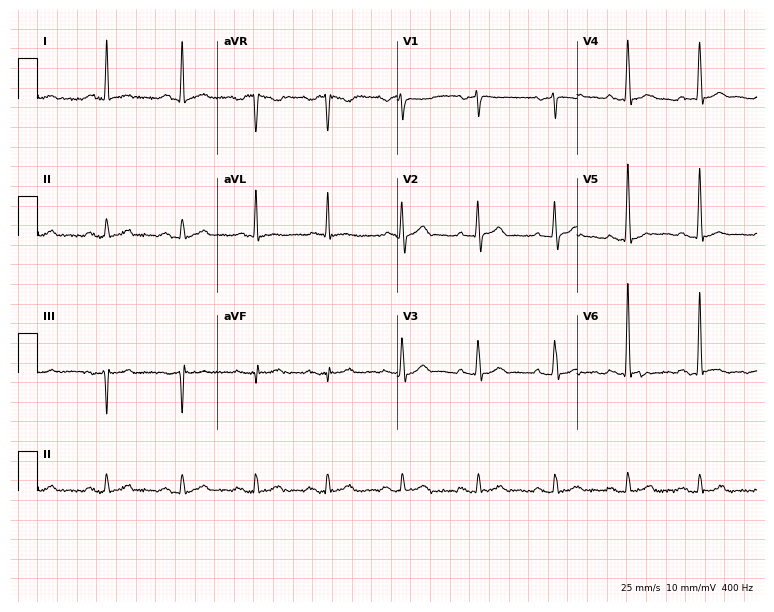
Resting 12-lead electrocardiogram. Patient: a male, 46 years old. None of these six findings is recorded: first-degree AV block, right bundle branch block, left bundle branch block, sinus bradycardia, atrial fibrillation, sinus tachycardia.